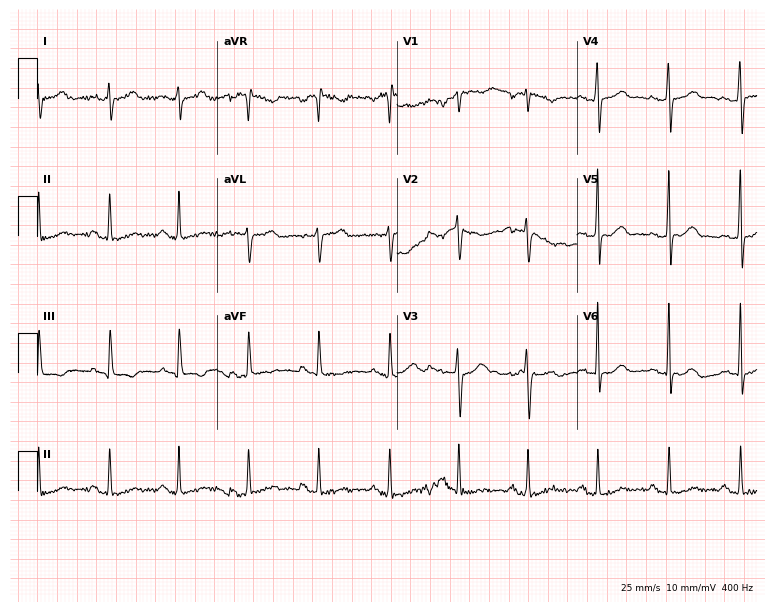
ECG — a 36-year-old female patient. Screened for six findings — first-degree AV block, right bundle branch block (RBBB), left bundle branch block (LBBB), sinus bradycardia, atrial fibrillation (AF), sinus tachycardia — none is recorded. Only these six findings were labelled.